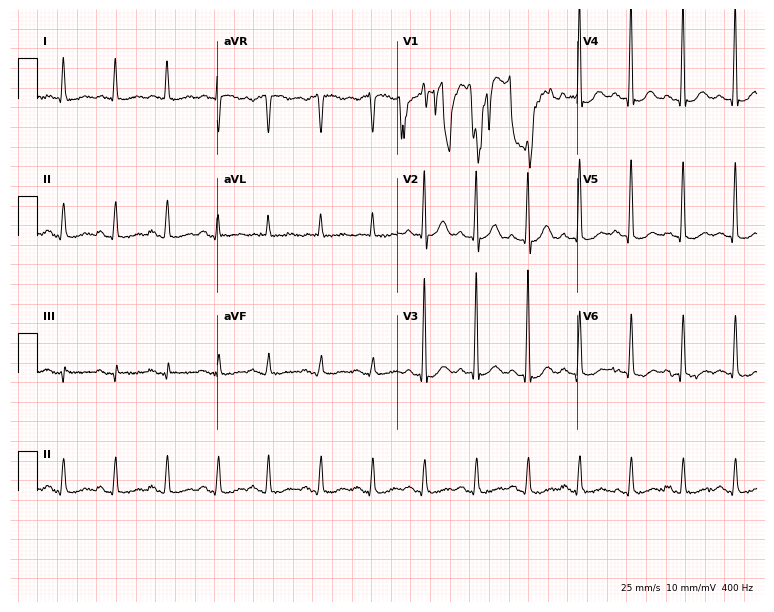
Standard 12-lead ECG recorded from a male, 82 years old. The tracing shows sinus tachycardia (a sinus rate of 100 beats per minute or more).